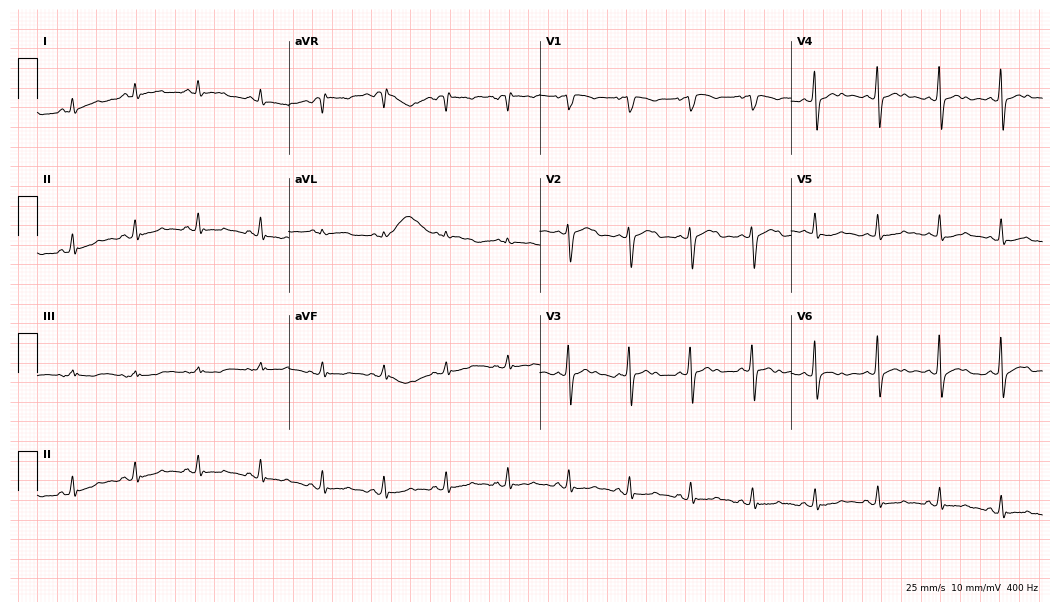
Standard 12-lead ECG recorded from a 60-year-old male (10.2-second recording at 400 Hz). None of these six findings is recorded: first-degree AV block, right bundle branch block, left bundle branch block, sinus bradycardia, atrial fibrillation, sinus tachycardia. Findings outside these six are not listed.